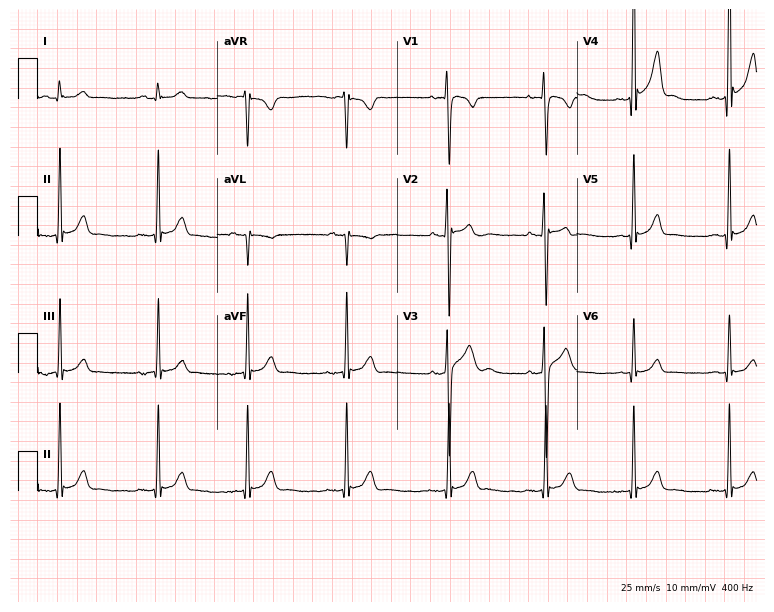
12-lead ECG from a 21-year-old male patient (7.3-second recording at 400 Hz). Recorded interpretation: within normal limits.